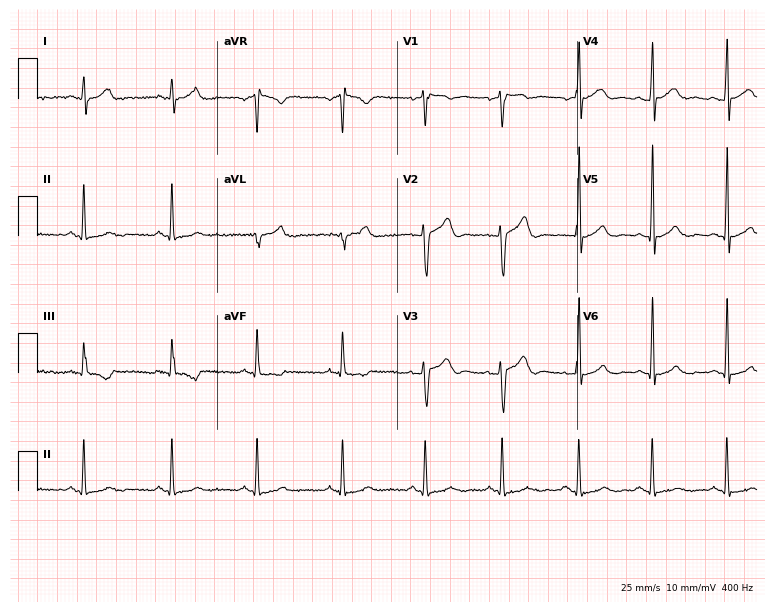
ECG (7.3-second recording at 400 Hz) — a male, 27 years old. Labelled as a normal ECG.